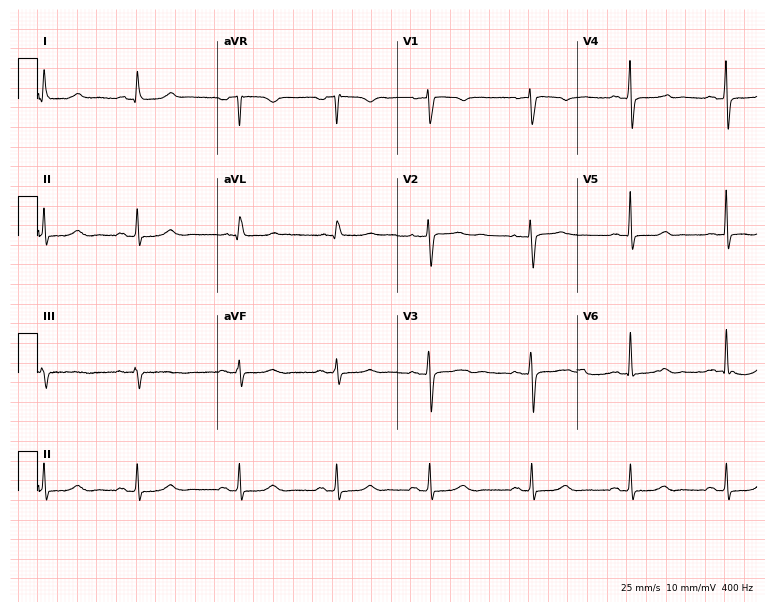
Resting 12-lead electrocardiogram. Patient: a female, 47 years old. None of these six findings is recorded: first-degree AV block, right bundle branch block, left bundle branch block, sinus bradycardia, atrial fibrillation, sinus tachycardia. Only these six findings were labelled.